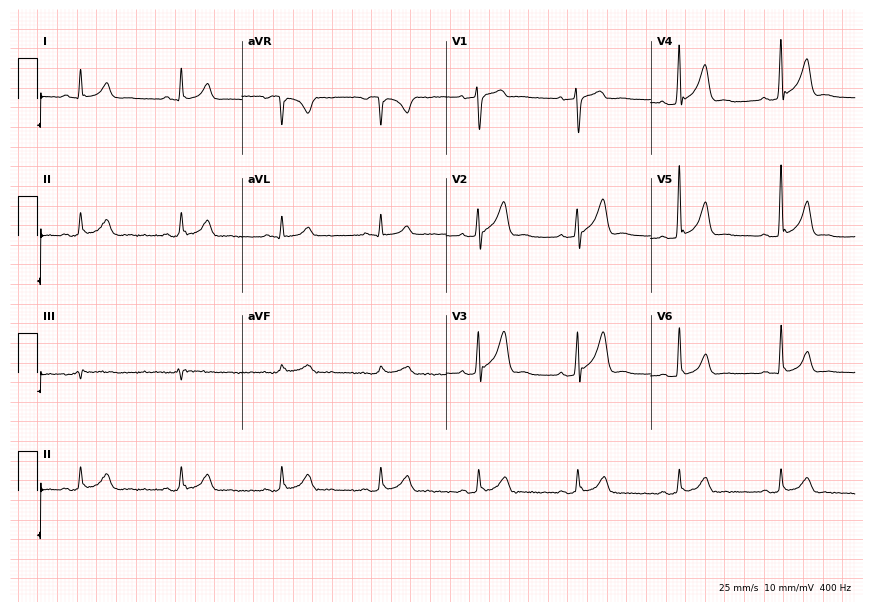
Standard 12-lead ECG recorded from a 45-year-old man. Read as a normal ECG.